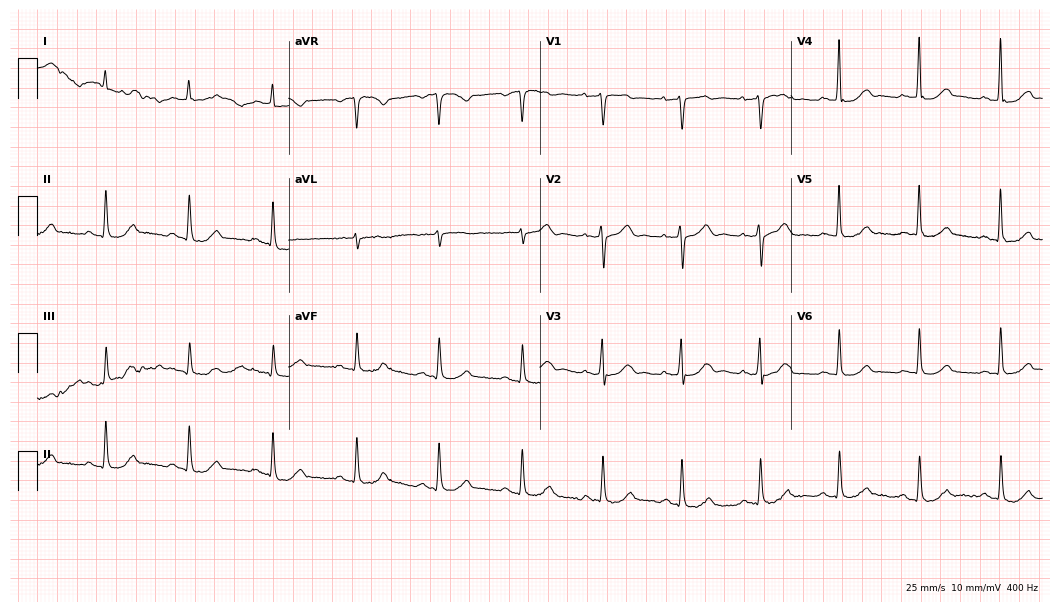
12-lead ECG from an 83-year-old male patient. No first-degree AV block, right bundle branch block (RBBB), left bundle branch block (LBBB), sinus bradycardia, atrial fibrillation (AF) or sinus tachycardia recorded for this tracing.